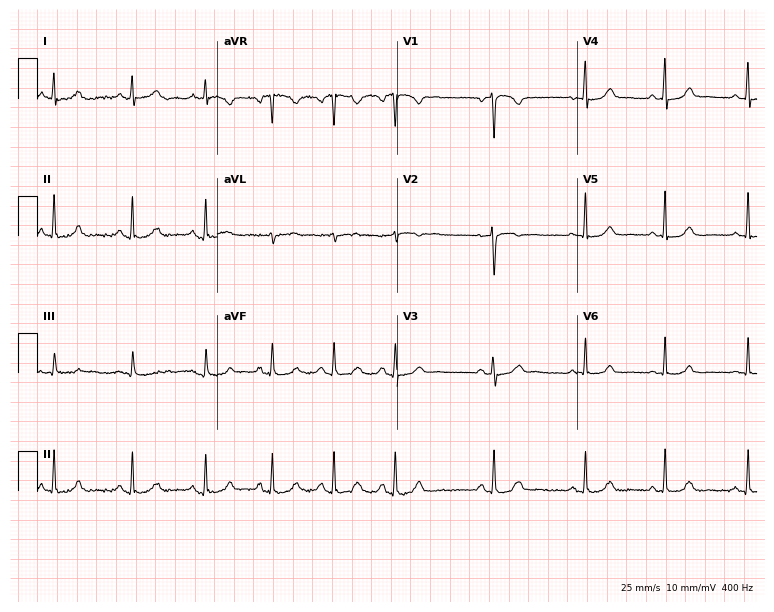
ECG (7.3-second recording at 400 Hz) — a female patient, 33 years old. Screened for six findings — first-degree AV block, right bundle branch block (RBBB), left bundle branch block (LBBB), sinus bradycardia, atrial fibrillation (AF), sinus tachycardia — none is recorded.